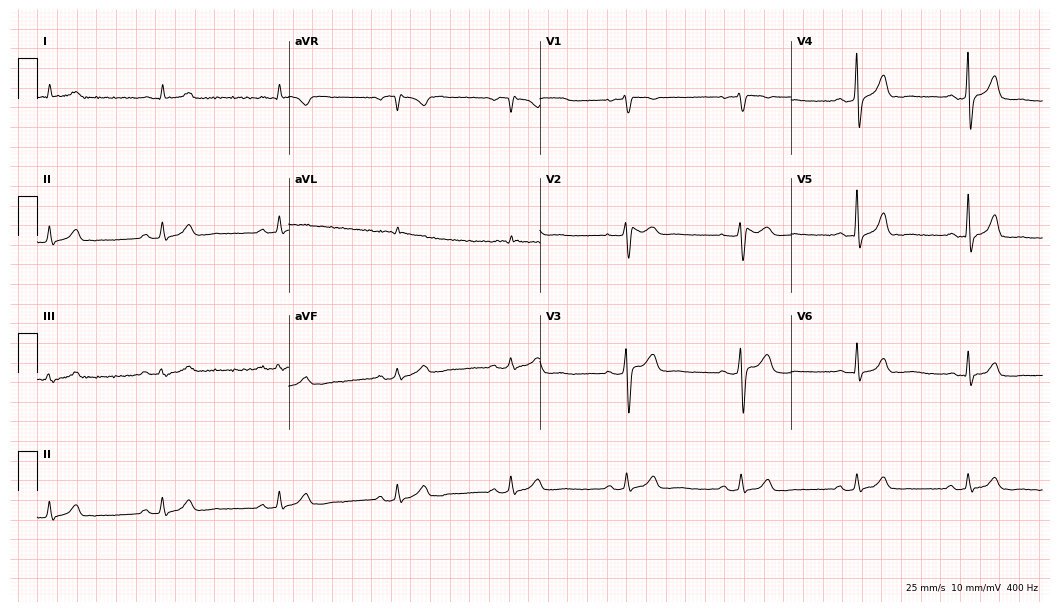
12-lead ECG from a man, 49 years old (10.2-second recording at 400 Hz). Recorded interpretation: within normal limits.